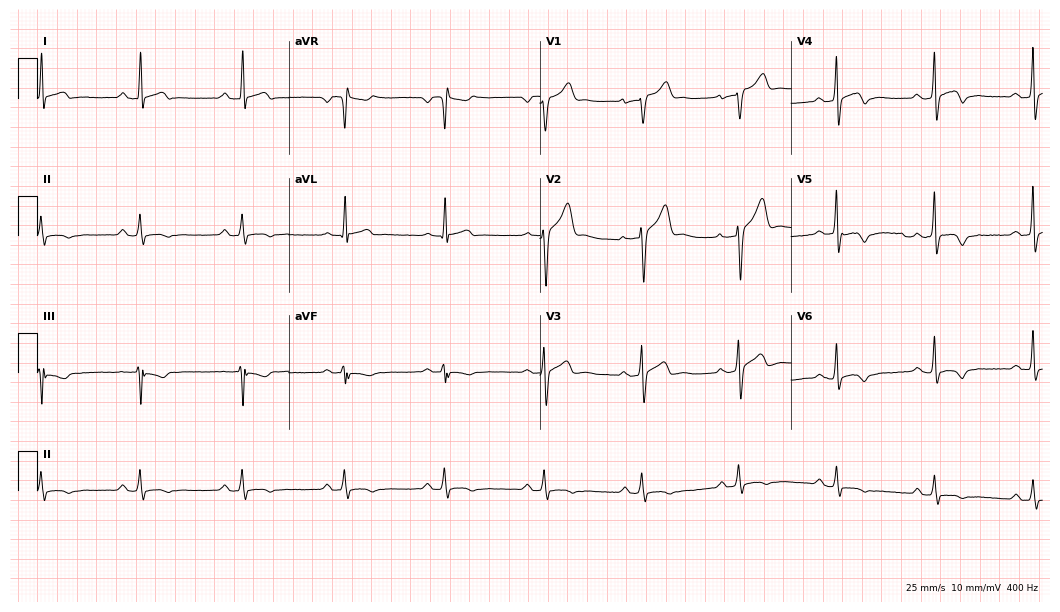
12-lead ECG from a 43-year-old male. Screened for six findings — first-degree AV block, right bundle branch block (RBBB), left bundle branch block (LBBB), sinus bradycardia, atrial fibrillation (AF), sinus tachycardia — none is recorded.